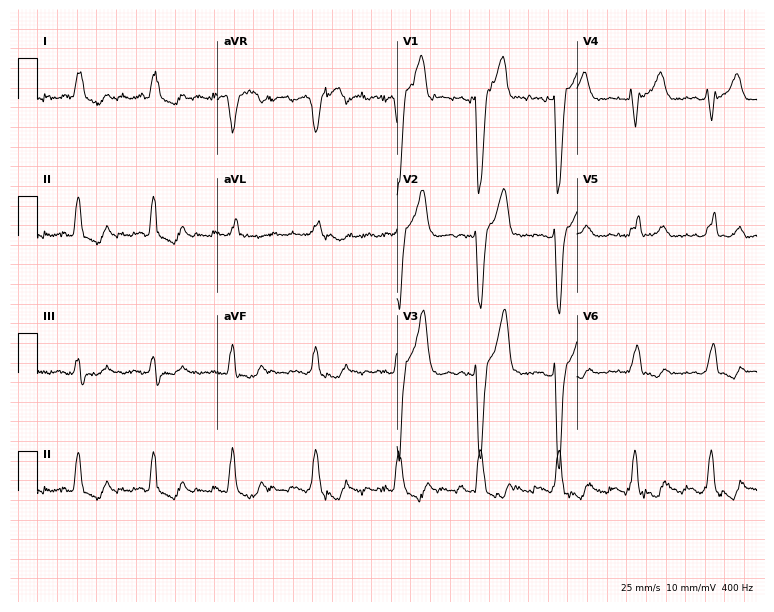
Resting 12-lead electrocardiogram. Patient: a male, 83 years old. None of these six findings is recorded: first-degree AV block, right bundle branch block (RBBB), left bundle branch block (LBBB), sinus bradycardia, atrial fibrillation (AF), sinus tachycardia.